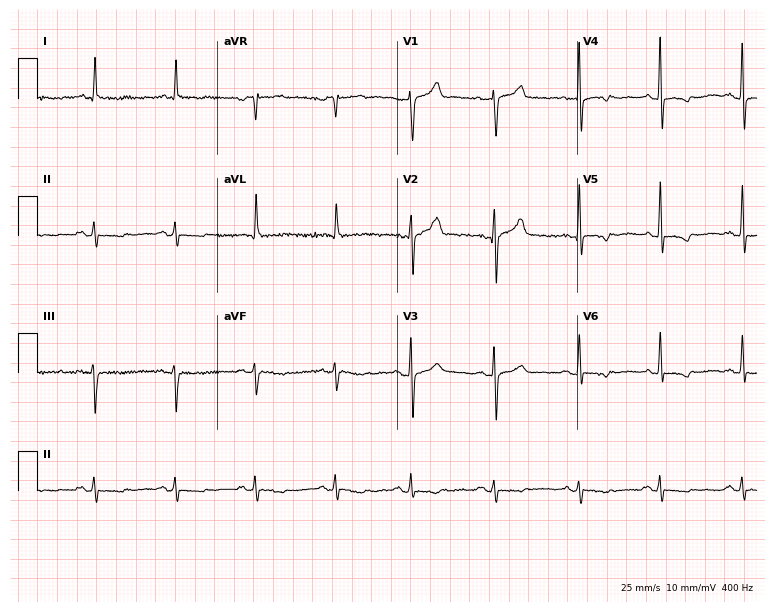
Resting 12-lead electrocardiogram. Patient: a male, 80 years old. None of these six findings is recorded: first-degree AV block, right bundle branch block, left bundle branch block, sinus bradycardia, atrial fibrillation, sinus tachycardia.